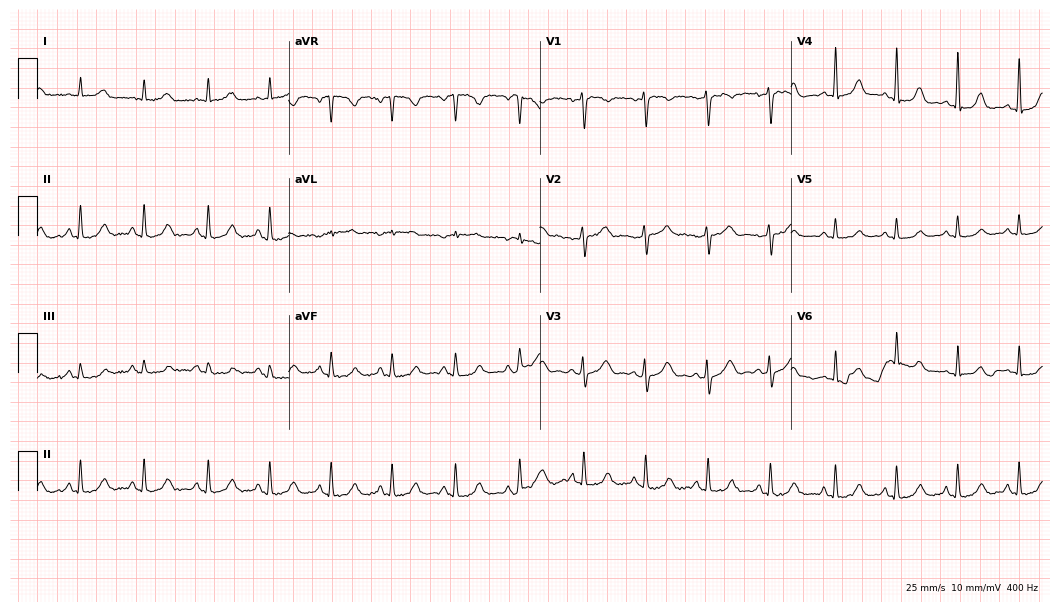
Standard 12-lead ECG recorded from a female patient, 52 years old. None of these six findings is recorded: first-degree AV block, right bundle branch block, left bundle branch block, sinus bradycardia, atrial fibrillation, sinus tachycardia.